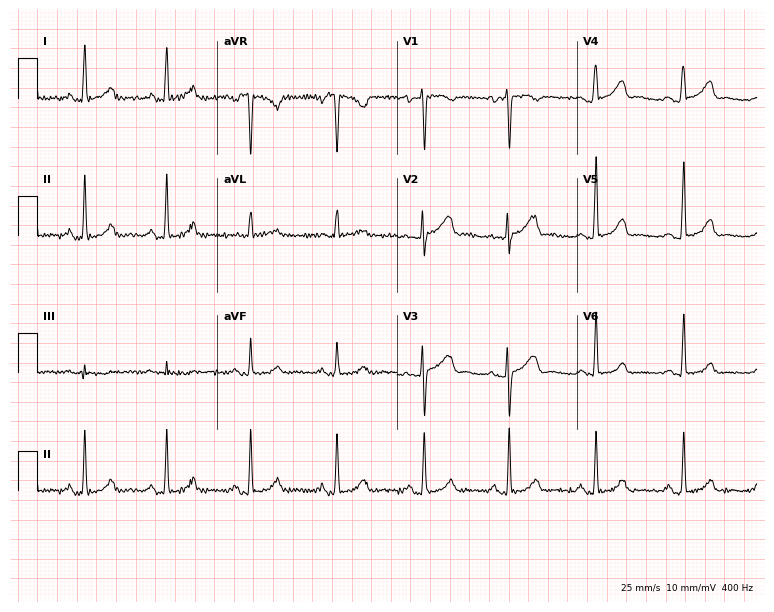
12-lead ECG from a woman, 29 years old (7.3-second recording at 400 Hz). No first-degree AV block, right bundle branch block, left bundle branch block, sinus bradycardia, atrial fibrillation or sinus tachycardia recorded for this tracing.